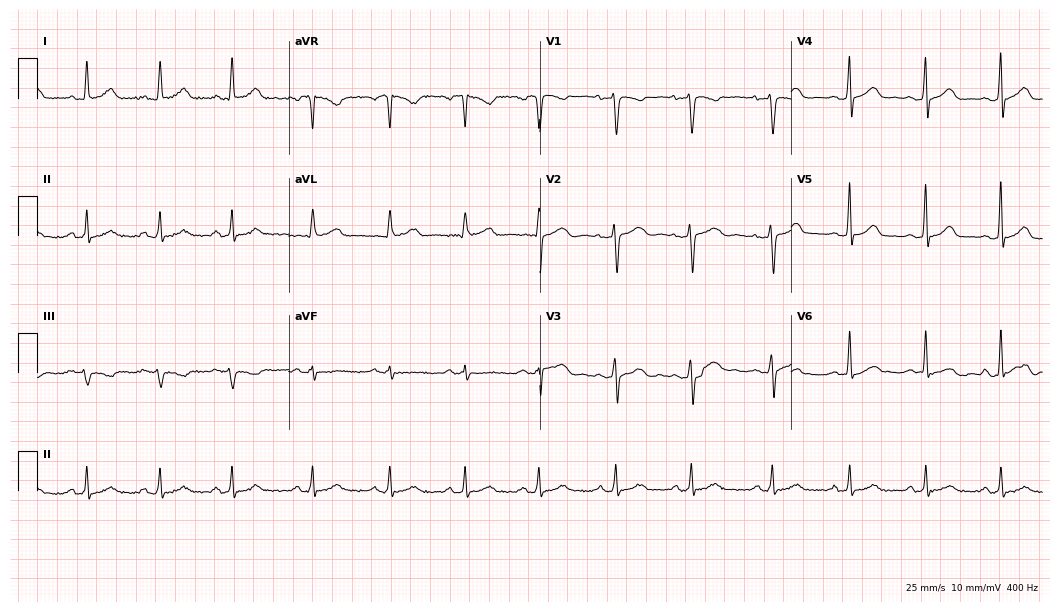
Standard 12-lead ECG recorded from a female patient, 34 years old. Read as a normal ECG.